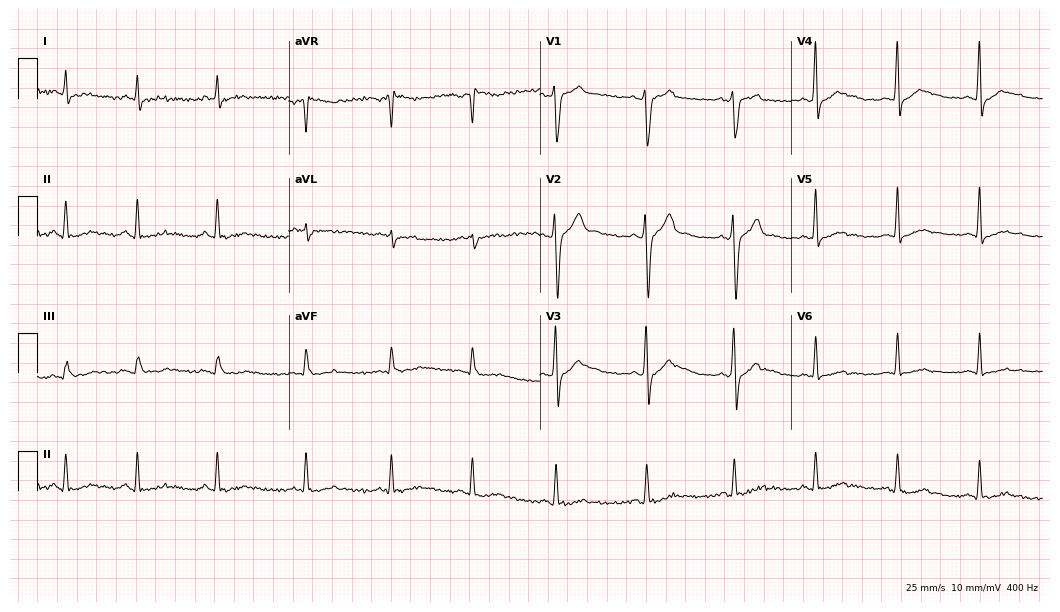
ECG (10.2-second recording at 400 Hz) — a male, 22 years old. Screened for six findings — first-degree AV block, right bundle branch block, left bundle branch block, sinus bradycardia, atrial fibrillation, sinus tachycardia — none is recorded. Only these six findings were labelled.